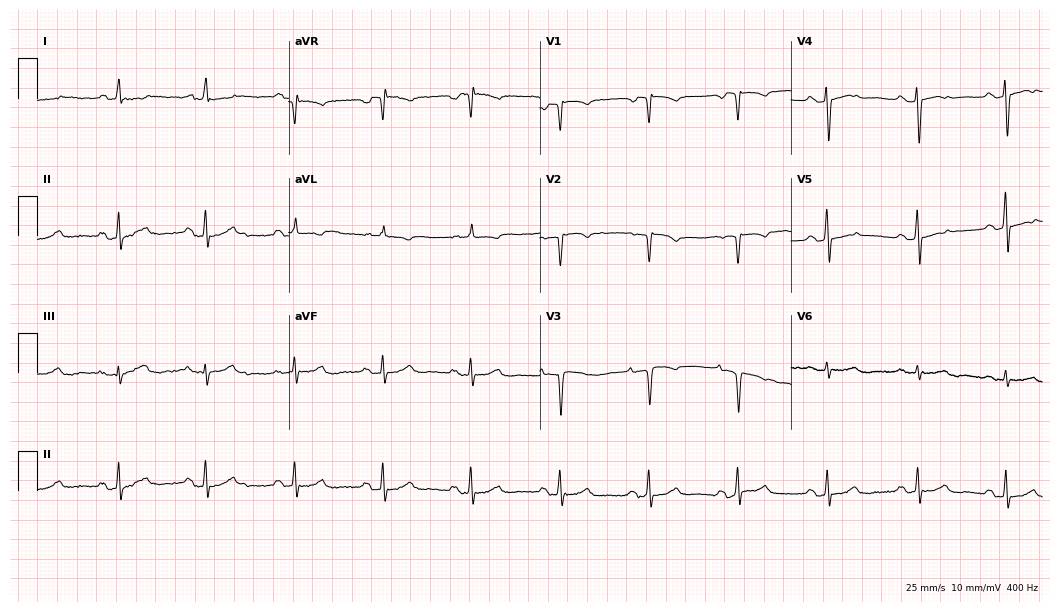
Standard 12-lead ECG recorded from a 79-year-old female (10.2-second recording at 400 Hz). None of these six findings is recorded: first-degree AV block, right bundle branch block, left bundle branch block, sinus bradycardia, atrial fibrillation, sinus tachycardia. Findings outside these six are not listed.